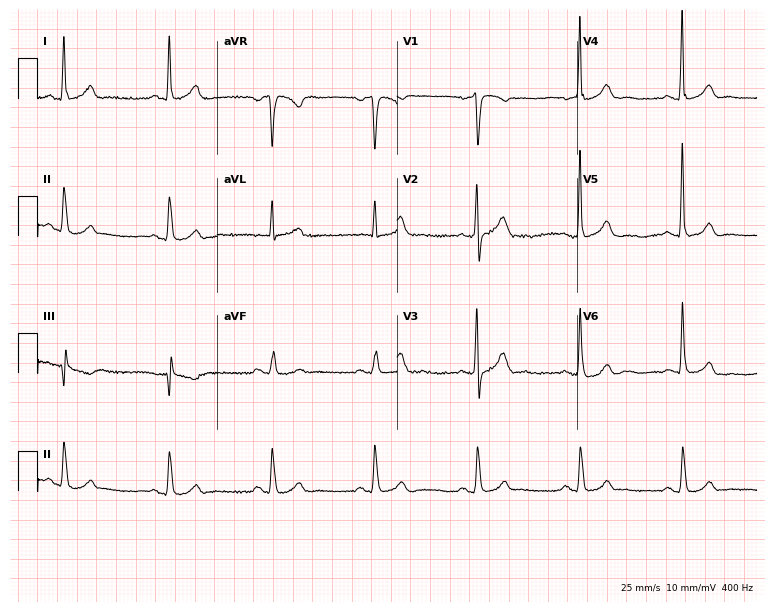
12-lead ECG from a 56-year-old man (7.3-second recording at 400 Hz). No first-degree AV block, right bundle branch block, left bundle branch block, sinus bradycardia, atrial fibrillation or sinus tachycardia recorded for this tracing.